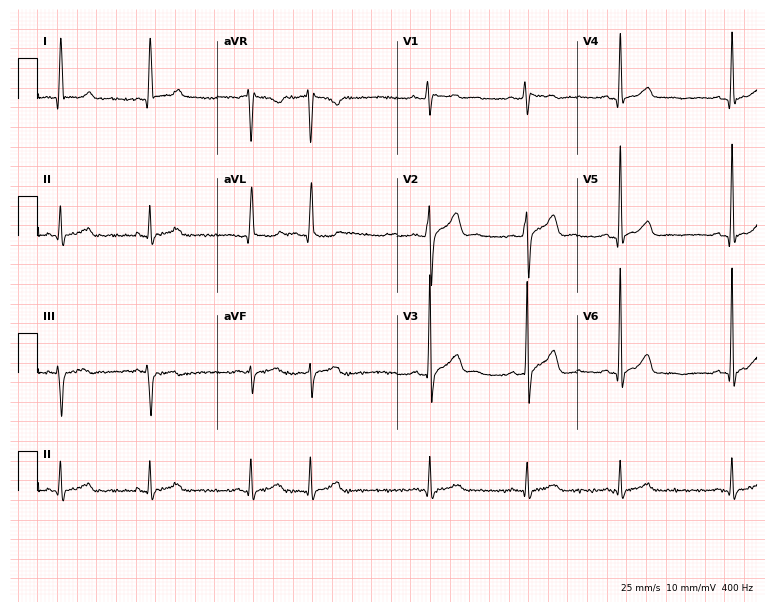
Electrocardiogram (7.3-second recording at 400 Hz), a 38-year-old male patient. Of the six screened findings (first-degree AV block, right bundle branch block (RBBB), left bundle branch block (LBBB), sinus bradycardia, atrial fibrillation (AF), sinus tachycardia), none is recorded. Only these six findings were labelled.